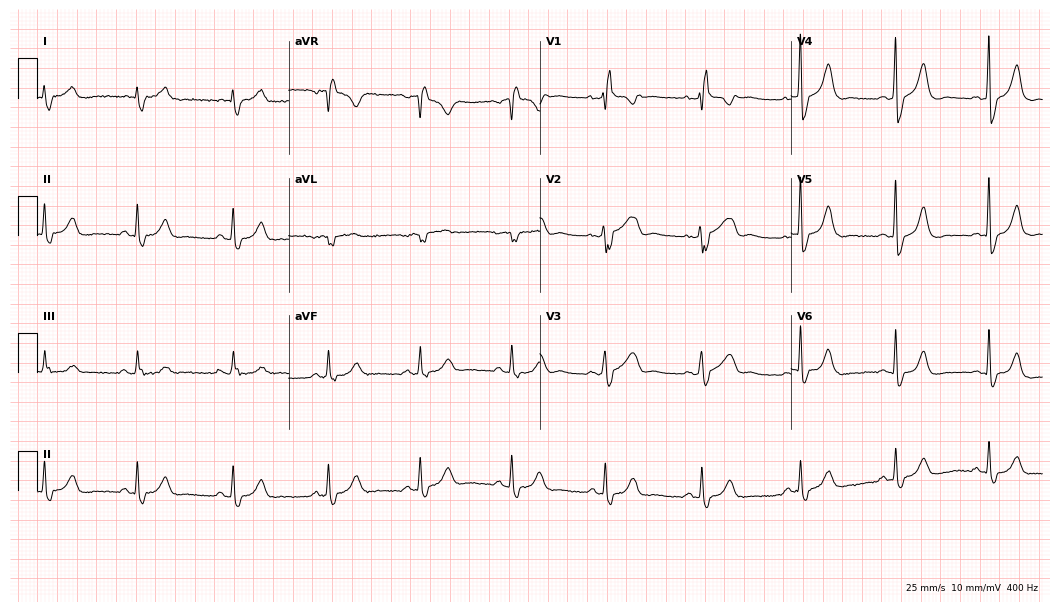
12-lead ECG from a female, 54 years old. Shows right bundle branch block.